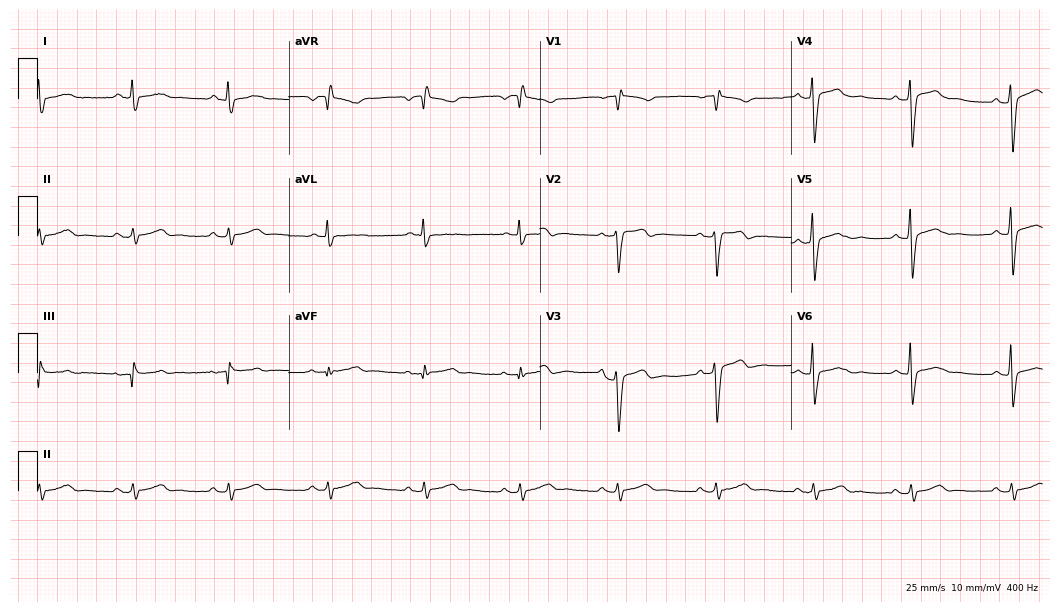
Resting 12-lead electrocardiogram. Patient: a 54-year-old male. None of these six findings is recorded: first-degree AV block, right bundle branch block, left bundle branch block, sinus bradycardia, atrial fibrillation, sinus tachycardia. Findings outside these six are not listed.